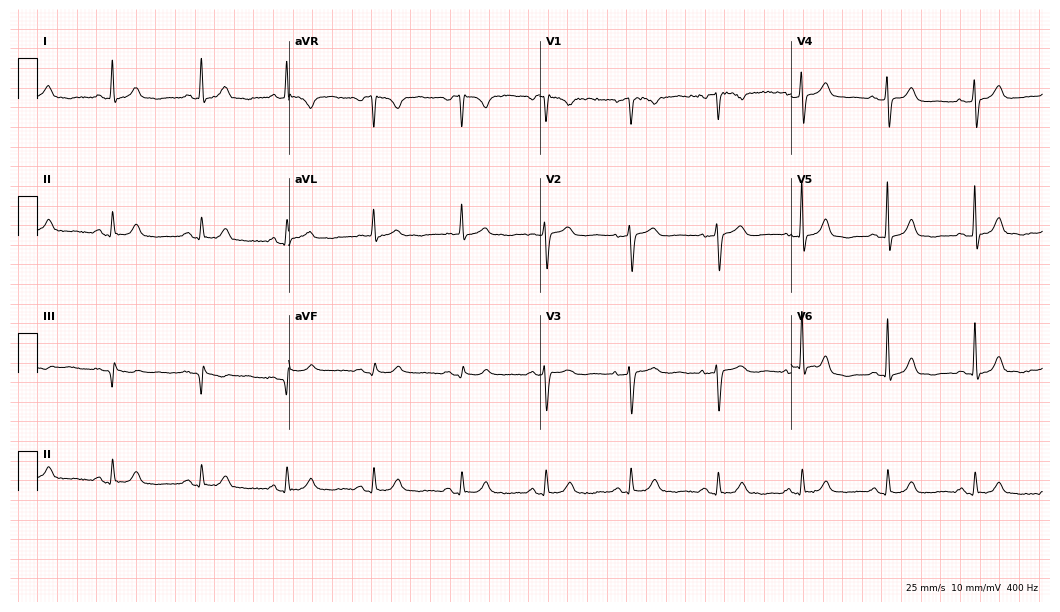
Standard 12-lead ECG recorded from a female, 74 years old (10.2-second recording at 400 Hz). None of these six findings is recorded: first-degree AV block, right bundle branch block, left bundle branch block, sinus bradycardia, atrial fibrillation, sinus tachycardia. Other findings, if any, are not listed.